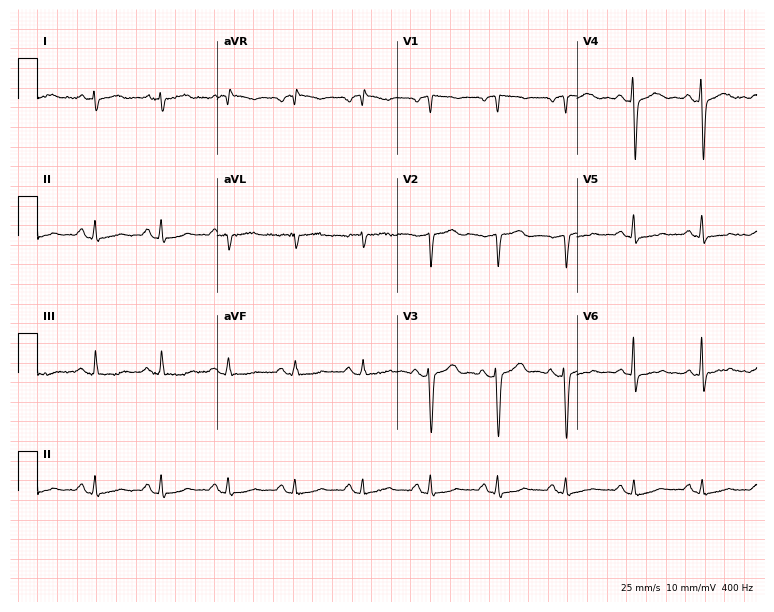
Resting 12-lead electrocardiogram (7.3-second recording at 400 Hz). Patient: a 67-year-old male. None of these six findings is recorded: first-degree AV block, right bundle branch block (RBBB), left bundle branch block (LBBB), sinus bradycardia, atrial fibrillation (AF), sinus tachycardia. Other findings, if any, are not listed.